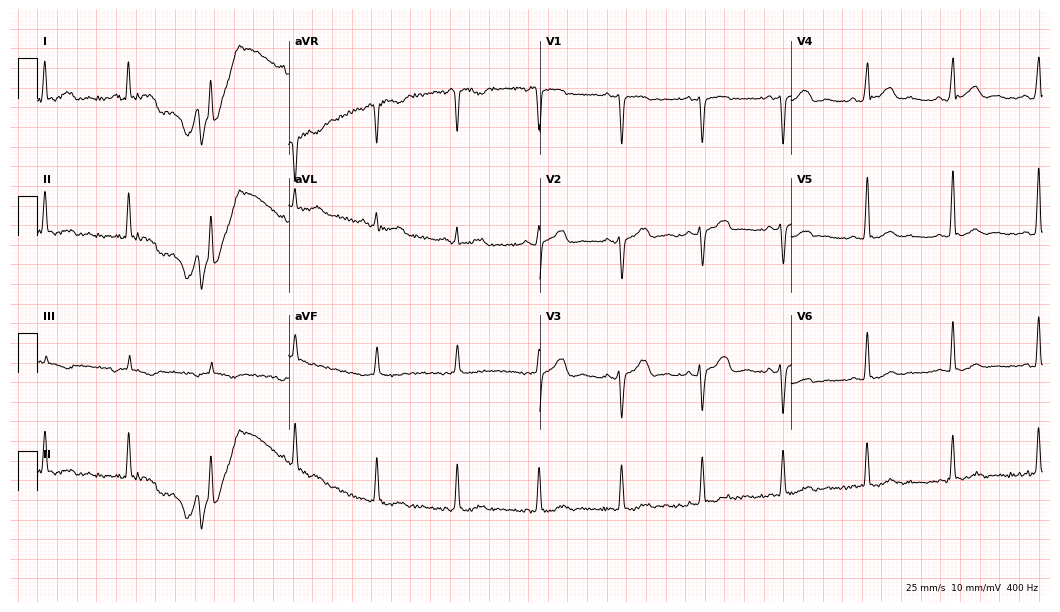
Electrocardiogram, a 40-year-old male patient. Of the six screened findings (first-degree AV block, right bundle branch block, left bundle branch block, sinus bradycardia, atrial fibrillation, sinus tachycardia), none is recorded. Other findings, if any, are not listed.